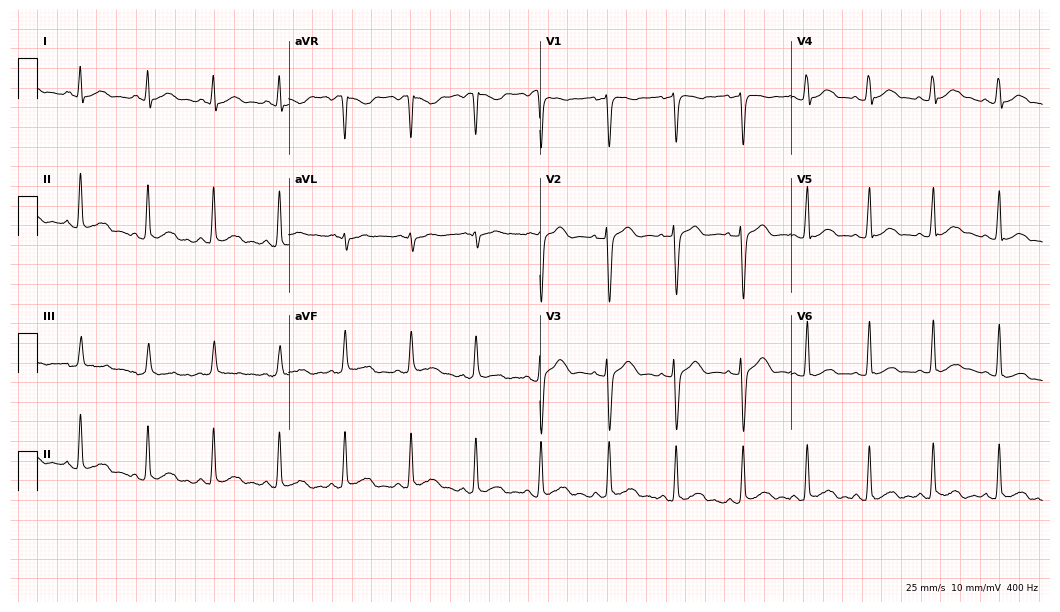
Electrocardiogram, a 34-year-old woman. Overall reading on record: normal ECG.